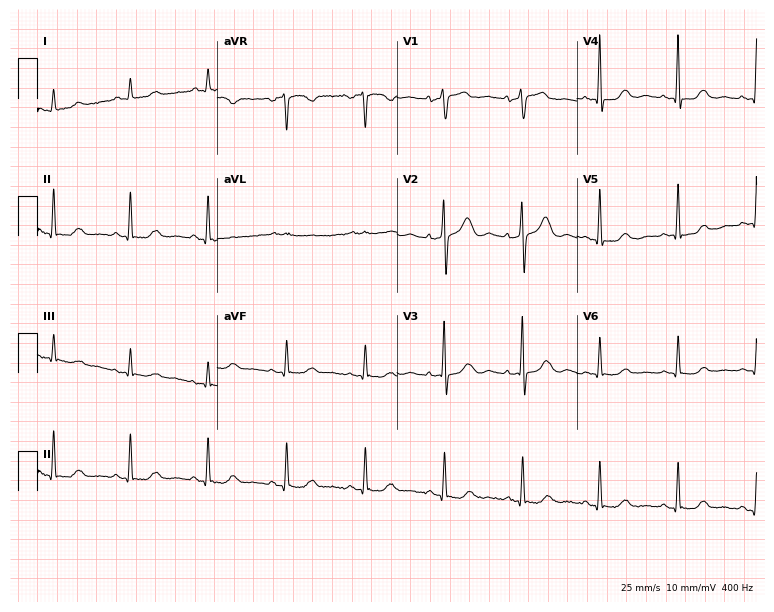
12-lead ECG from a 67-year-old female. No first-degree AV block, right bundle branch block (RBBB), left bundle branch block (LBBB), sinus bradycardia, atrial fibrillation (AF) or sinus tachycardia recorded for this tracing. Findings outside these six are not listed.